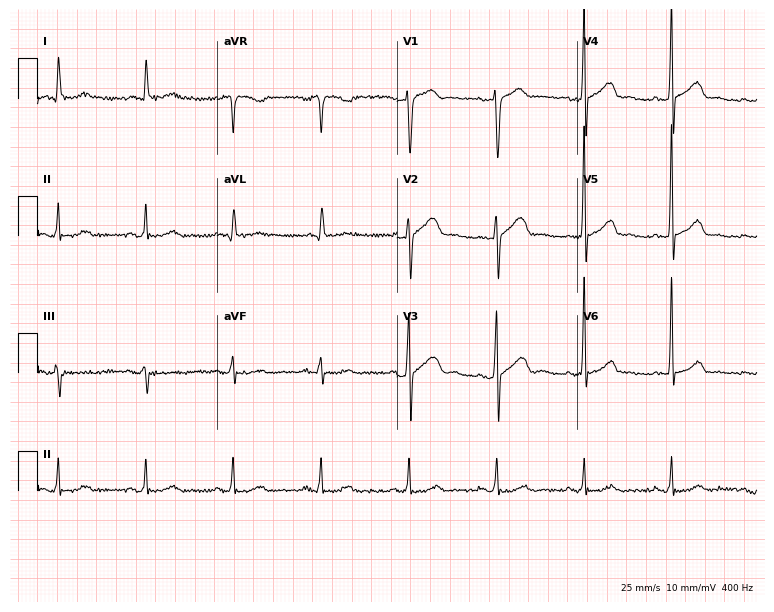
Standard 12-lead ECG recorded from a 68-year-old male patient (7.3-second recording at 400 Hz). Read as a normal ECG.